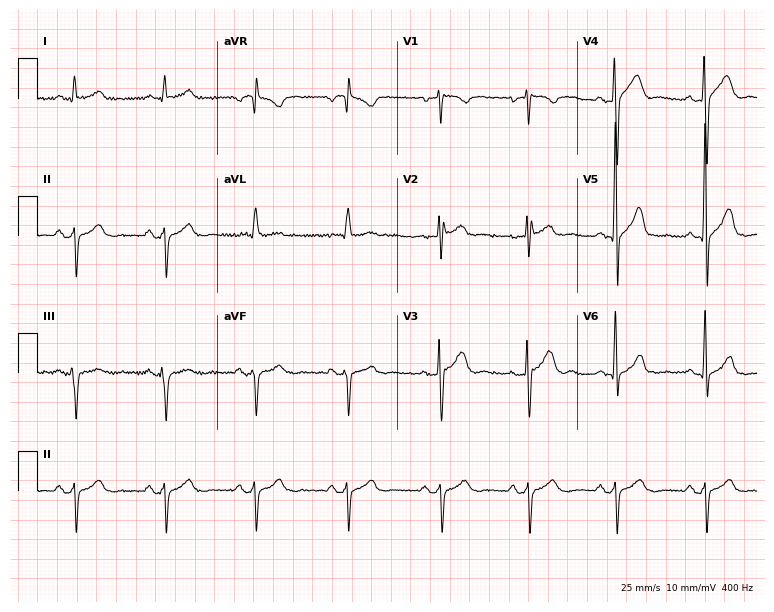
12-lead ECG from a male, 77 years old. No first-degree AV block, right bundle branch block (RBBB), left bundle branch block (LBBB), sinus bradycardia, atrial fibrillation (AF) or sinus tachycardia recorded for this tracing. Only these six findings were labelled.